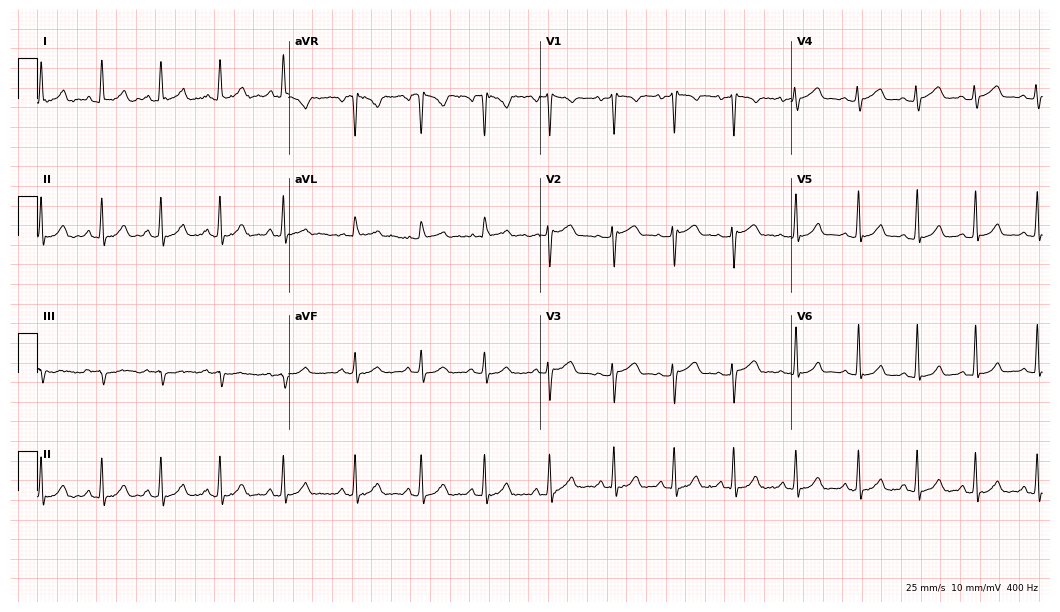
ECG (10.2-second recording at 400 Hz) — a 25-year-old female patient. Labelled as a normal ECG.